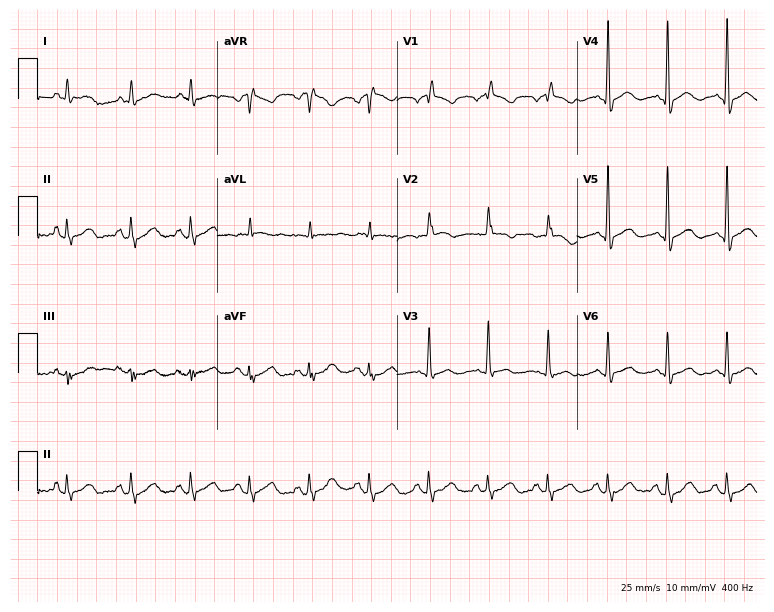
Resting 12-lead electrocardiogram (7.3-second recording at 400 Hz). Patient: a 75-year-old male. None of these six findings is recorded: first-degree AV block, right bundle branch block, left bundle branch block, sinus bradycardia, atrial fibrillation, sinus tachycardia.